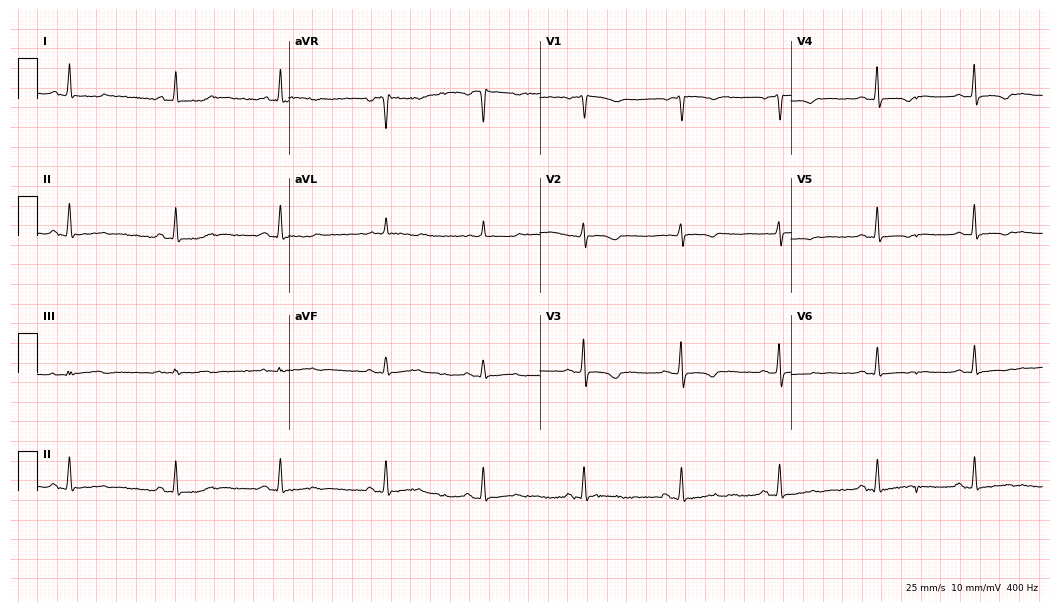
12-lead ECG (10.2-second recording at 400 Hz) from a female patient, 46 years old. Screened for six findings — first-degree AV block, right bundle branch block (RBBB), left bundle branch block (LBBB), sinus bradycardia, atrial fibrillation (AF), sinus tachycardia — none is recorded. Only these six findings were labelled.